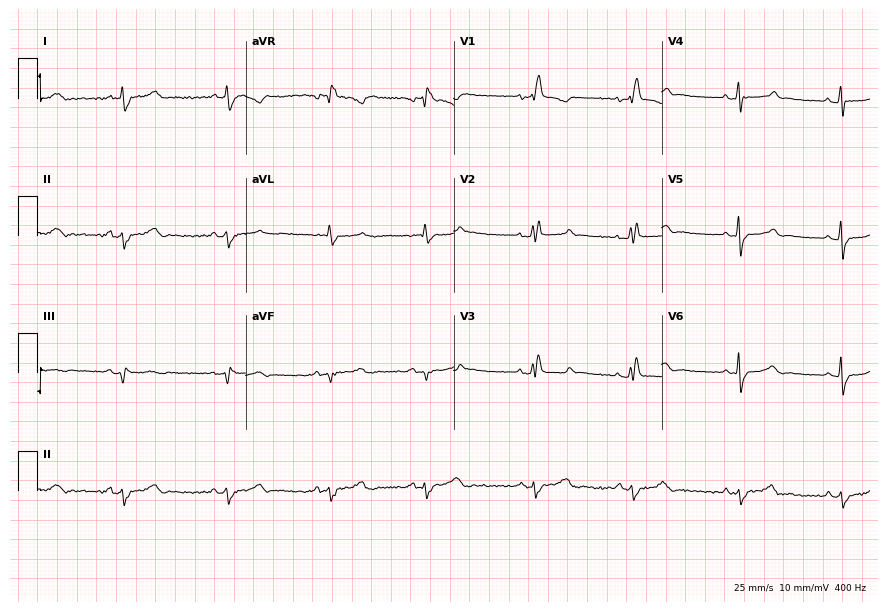
12-lead ECG from a woman, 43 years old. Findings include right bundle branch block.